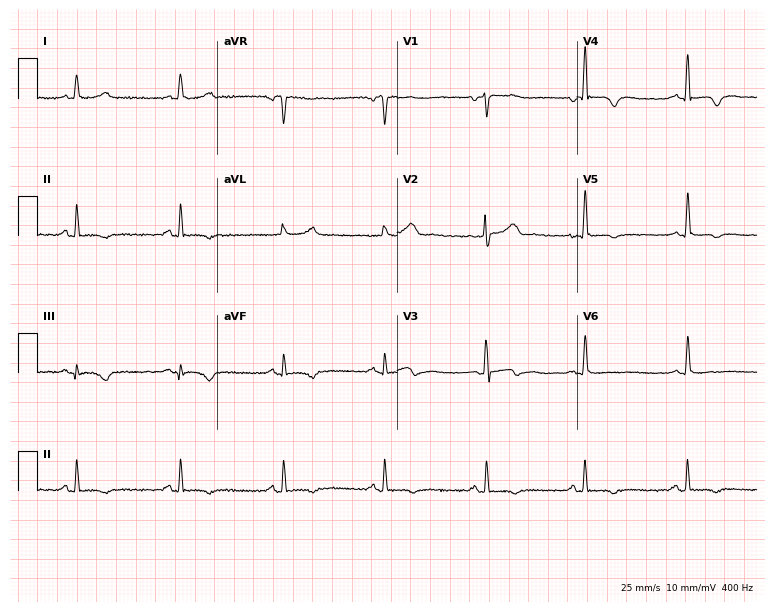
Electrocardiogram (7.3-second recording at 400 Hz), a woman, 53 years old. Of the six screened findings (first-degree AV block, right bundle branch block, left bundle branch block, sinus bradycardia, atrial fibrillation, sinus tachycardia), none is recorded. Only these six findings were labelled.